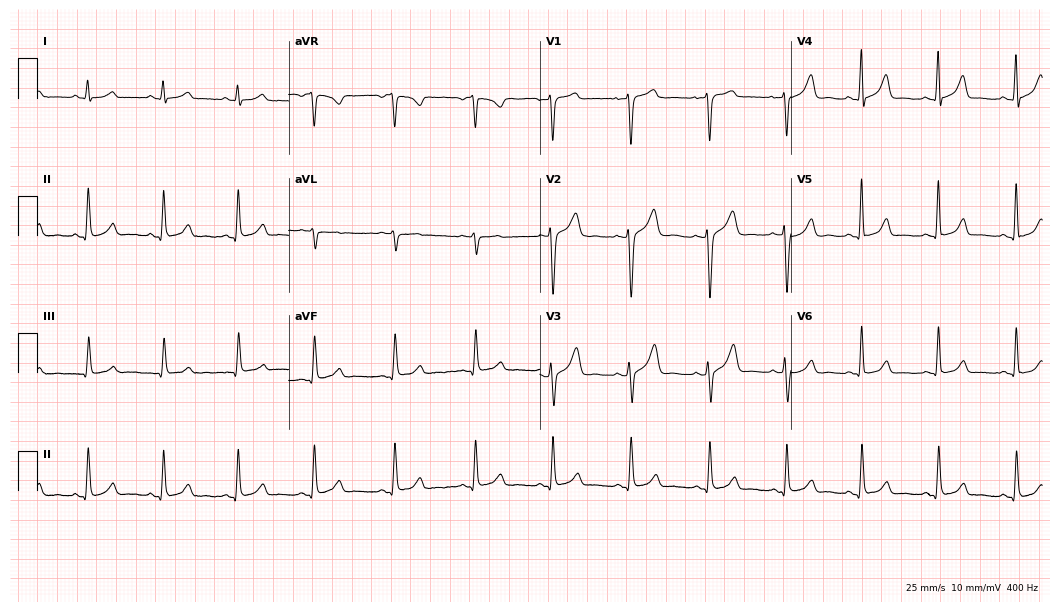
Standard 12-lead ECG recorded from a 48-year-old female (10.2-second recording at 400 Hz). Read as a normal ECG.